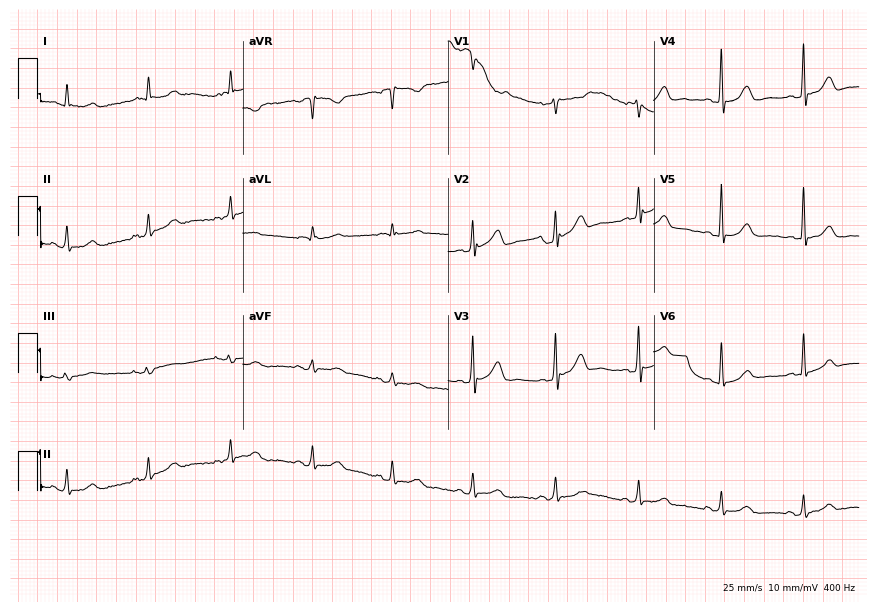
ECG (8.4-second recording at 400 Hz) — a 70-year-old female. Screened for six findings — first-degree AV block, right bundle branch block (RBBB), left bundle branch block (LBBB), sinus bradycardia, atrial fibrillation (AF), sinus tachycardia — none is recorded. Findings outside these six are not listed.